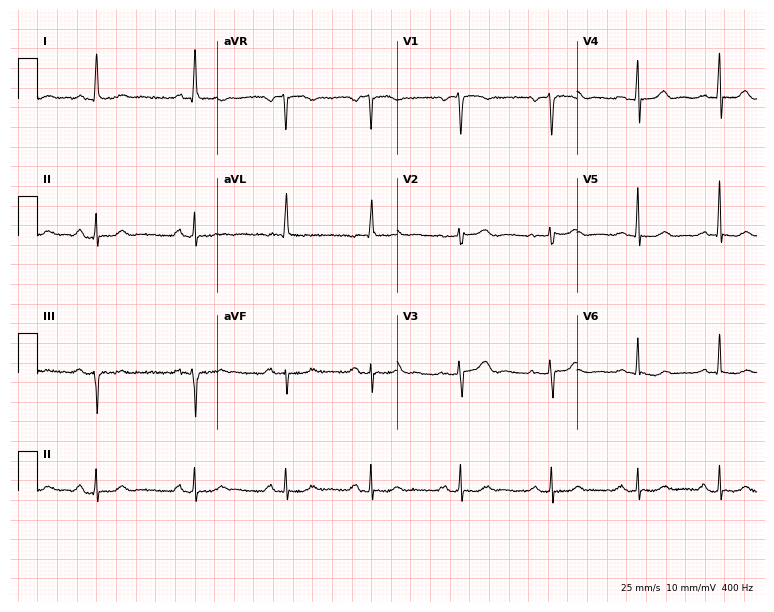
12-lead ECG (7.3-second recording at 400 Hz) from a woman, 66 years old. Labelled as a normal ECG.